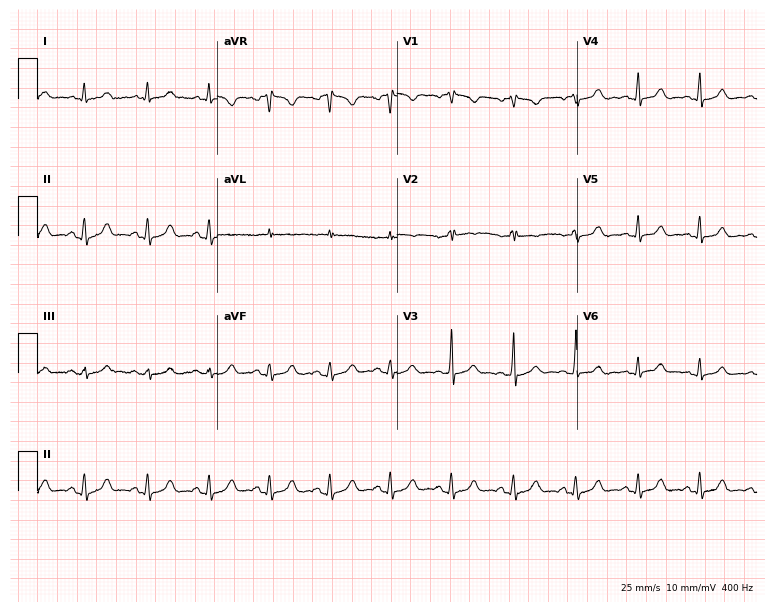
12-lead ECG from a female, 37 years old. Labelled as a normal ECG.